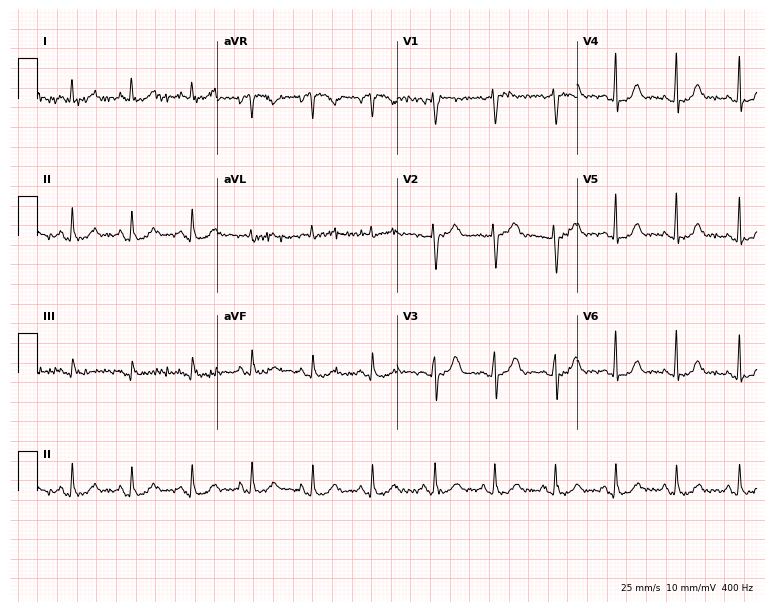
12-lead ECG from a 50-year-old woman. Screened for six findings — first-degree AV block, right bundle branch block (RBBB), left bundle branch block (LBBB), sinus bradycardia, atrial fibrillation (AF), sinus tachycardia — none is recorded. Only these six findings were labelled.